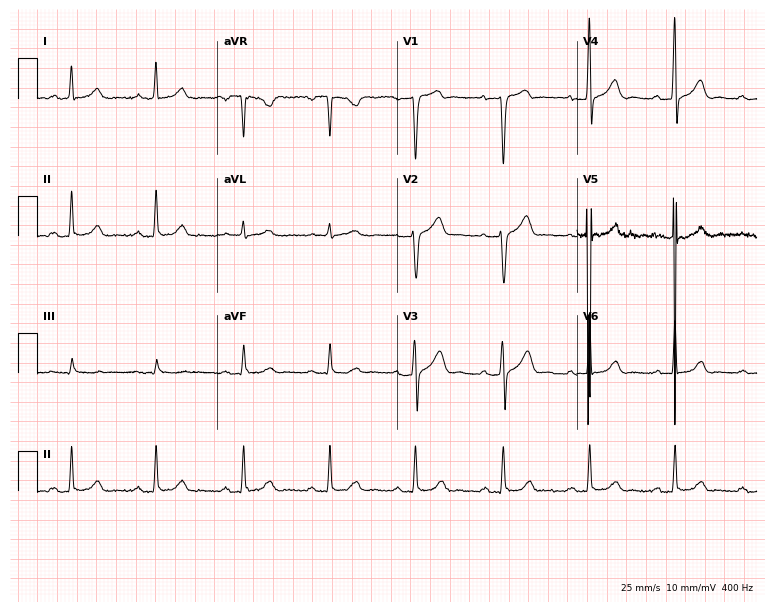
12-lead ECG (7.3-second recording at 400 Hz) from a male patient, 43 years old. Screened for six findings — first-degree AV block, right bundle branch block, left bundle branch block, sinus bradycardia, atrial fibrillation, sinus tachycardia — none is recorded.